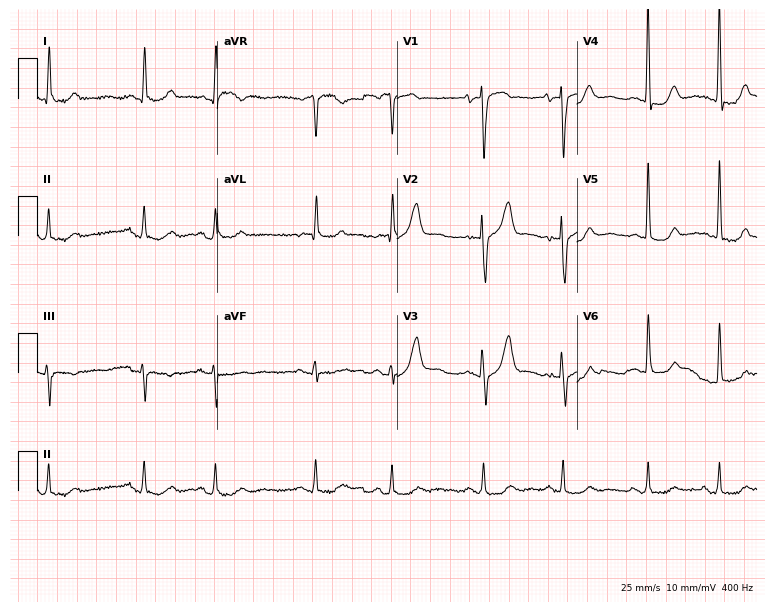
12-lead ECG from a 78-year-old male patient. Recorded interpretation: within normal limits.